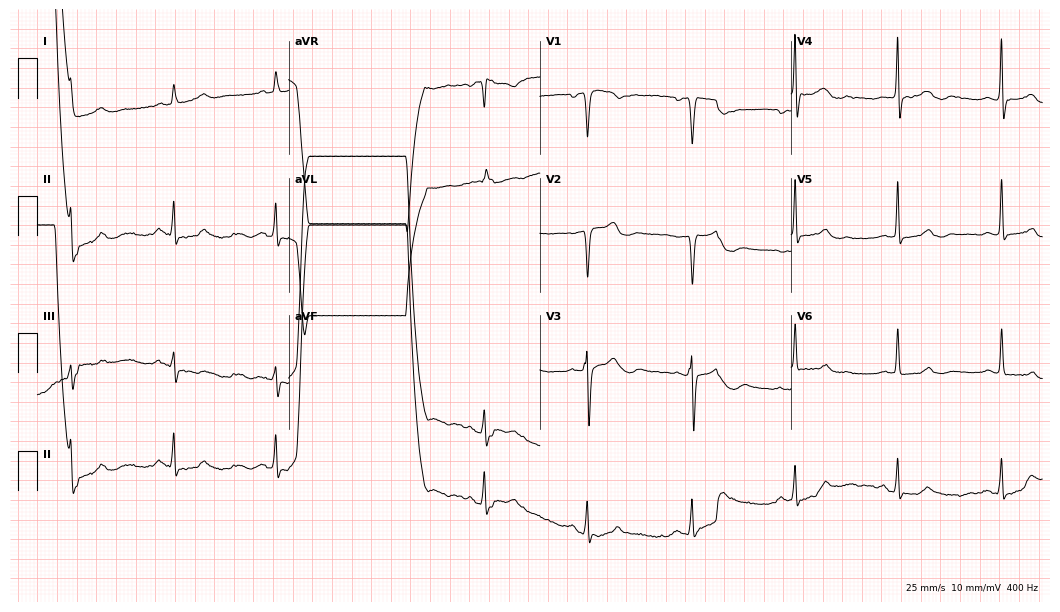
Resting 12-lead electrocardiogram (10.2-second recording at 400 Hz). Patient: a 63-year-old male. None of these six findings is recorded: first-degree AV block, right bundle branch block, left bundle branch block, sinus bradycardia, atrial fibrillation, sinus tachycardia.